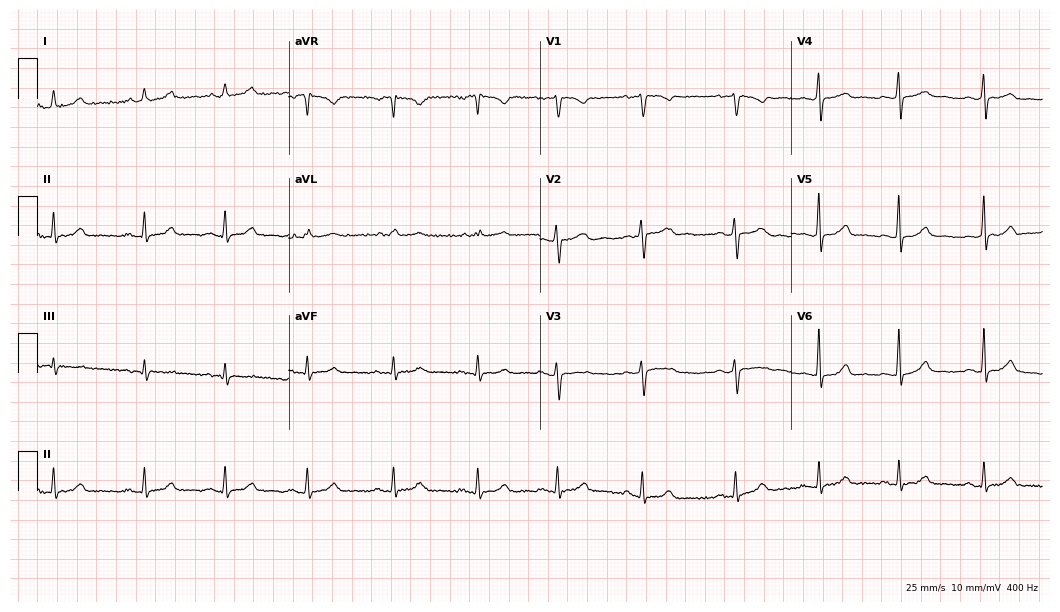
Resting 12-lead electrocardiogram (10.2-second recording at 400 Hz). Patient: a woman, 36 years old. Read as a normal ECG.